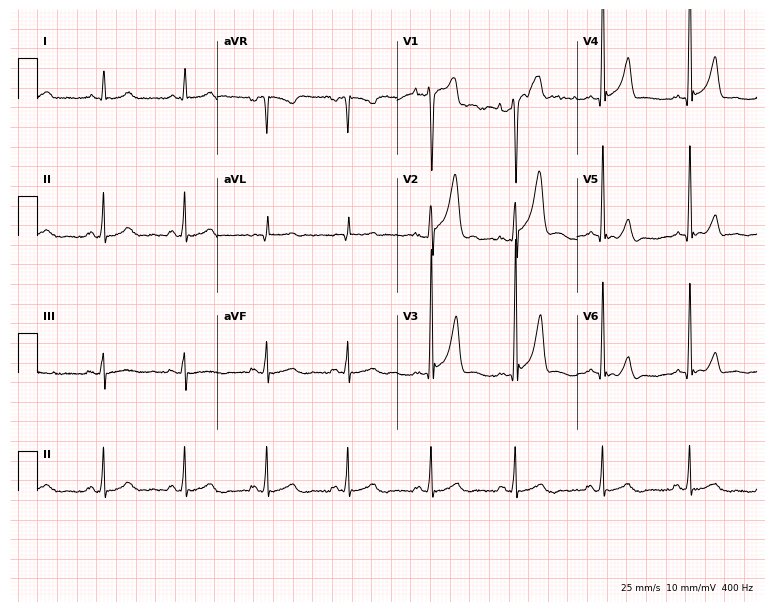
Standard 12-lead ECG recorded from a 47-year-old man. Read as a normal ECG.